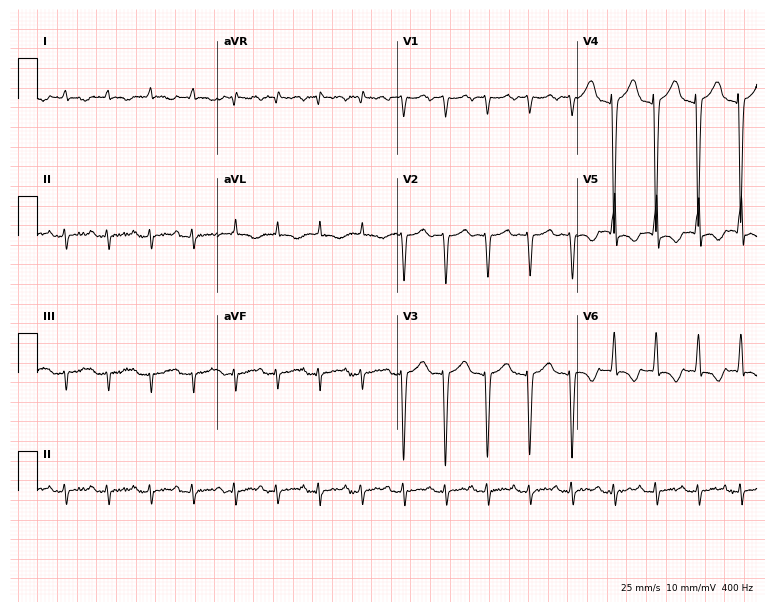
Electrocardiogram (7.3-second recording at 400 Hz), a 43-year-old man. Interpretation includes sinus tachycardia (a sinus rate of 100 beats per minute or more).